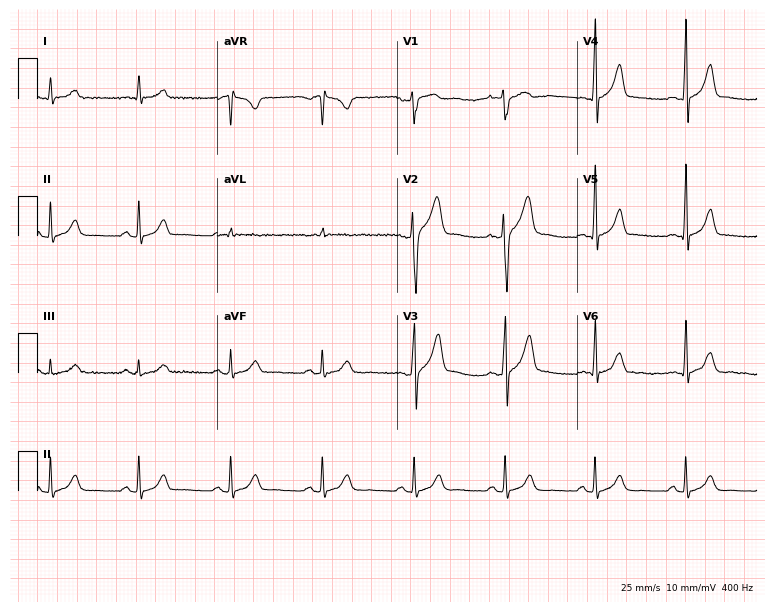
Electrocardiogram (7.3-second recording at 400 Hz), a male, 39 years old. Overall reading on record: normal ECG.